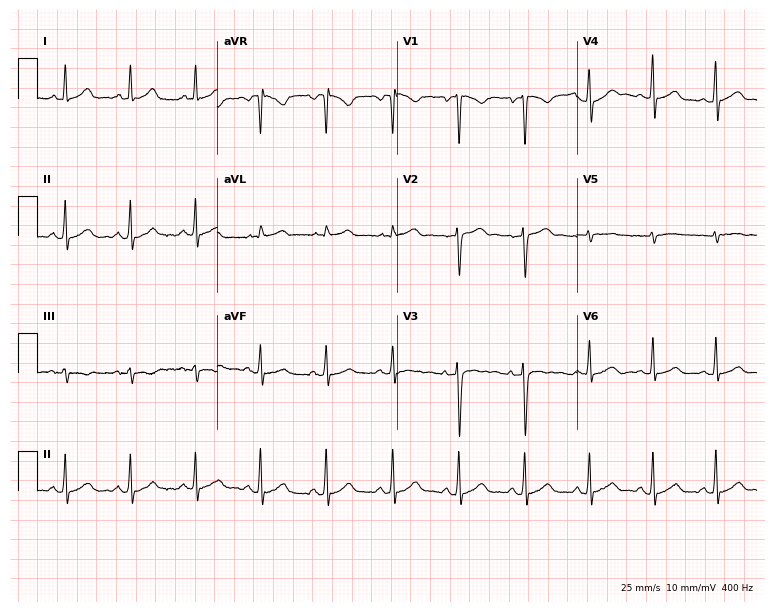
12-lead ECG from a woman, 41 years old. Recorded interpretation: within normal limits.